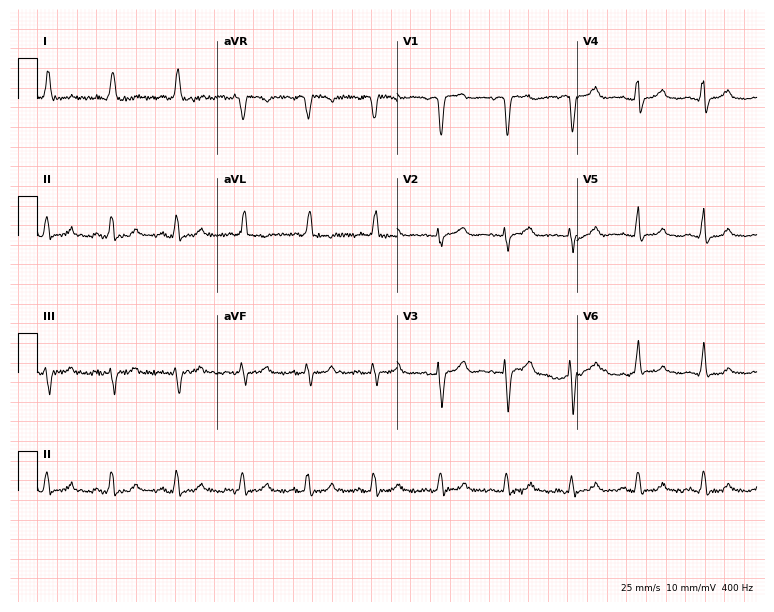
Electrocardiogram (7.3-second recording at 400 Hz), a woman, 55 years old. Overall reading on record: normal ECG.